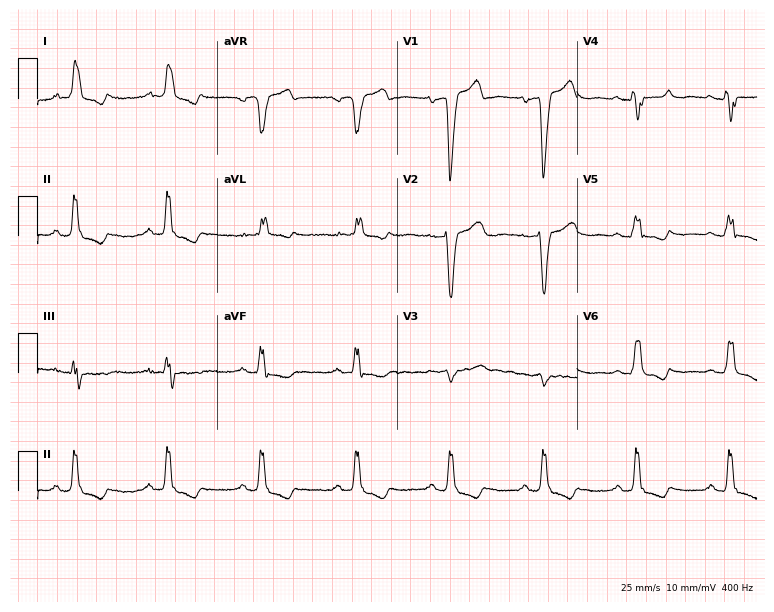
Resting 12-lead electrocardiogram (7.3-second recording at 400 Hz). Patient: a 72-year-old female. The tracing shows left bundle branch block.